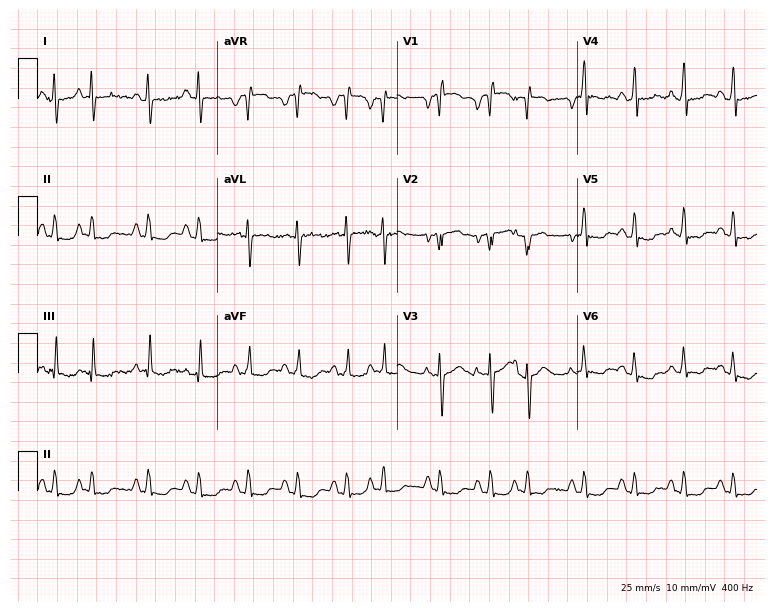
ECG — a male, 65 years old. Findings include sinus tachycardia (a sinus rate of 100 beats per minute or more).